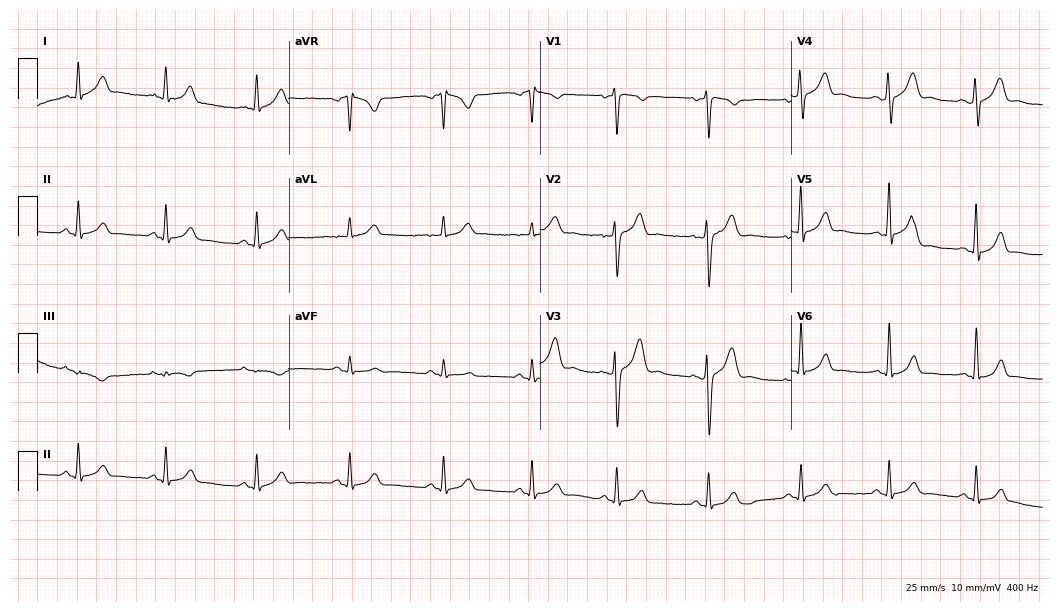
Resting 12-lead electrocardiogram. Patient: a male, 38 years old. Read as a normal ECG.